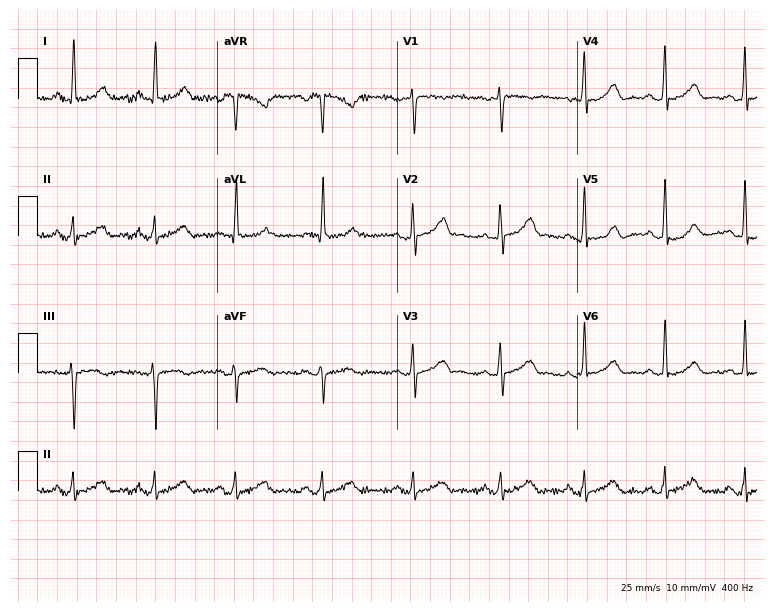
12-lead ECG from a woman, 62 years old. Labelled as a normal ECG.